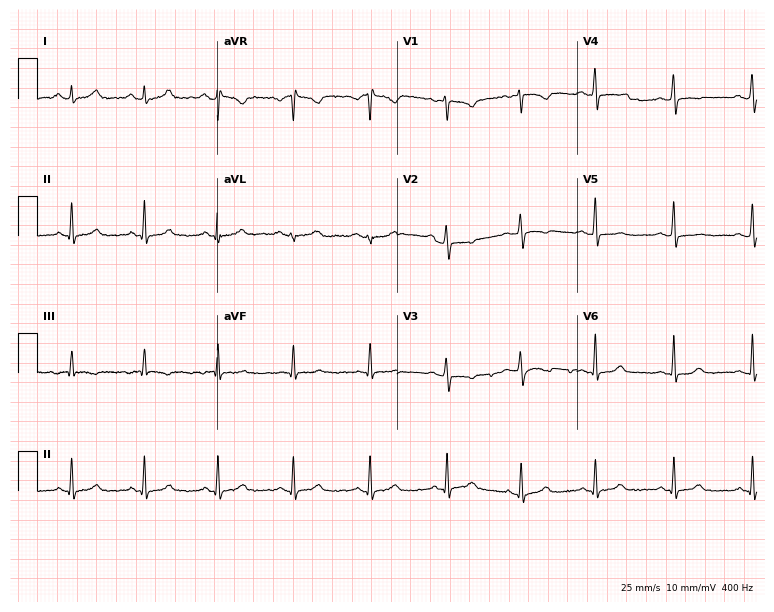
12-lead ECG from a female, 38 years old (7.3-second recording at 400 Hz). Recorded interpretation: within normal limits.